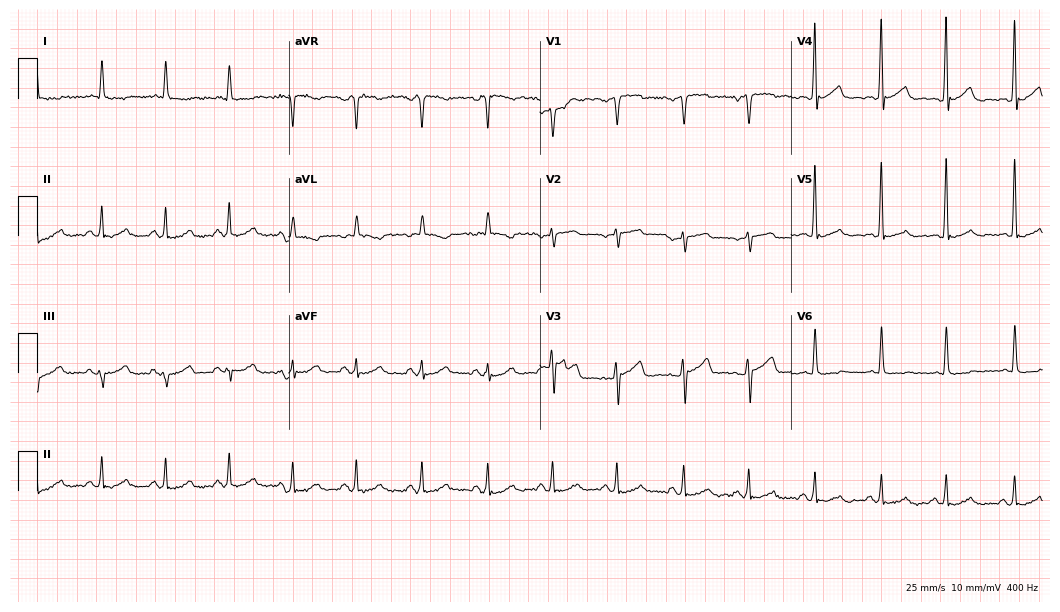
12-lead ECG from a 79-year-old male patient (10.2-second recording at 400 Hz). Recorded interpretation: within normal limits.